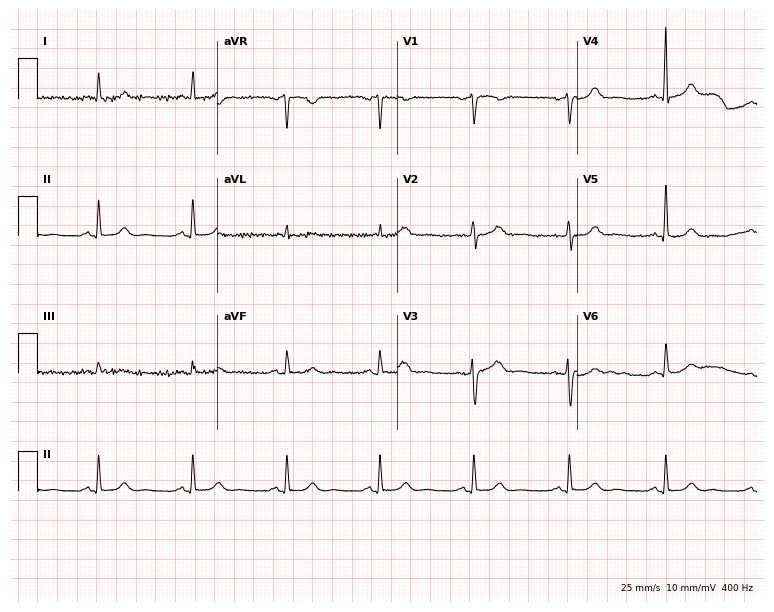
Electrocardiogram (7.3-second recording at 400 Hz), a 72-year-old male patient. Overall reading on record: normal ECG.